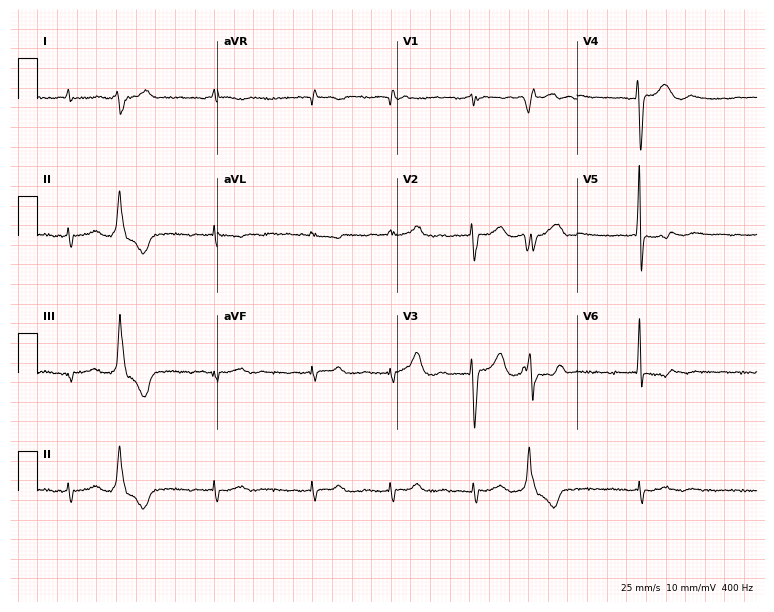
Electrocardiogram, a male, 78 years old. Interpretation includes atrial fibrillation.